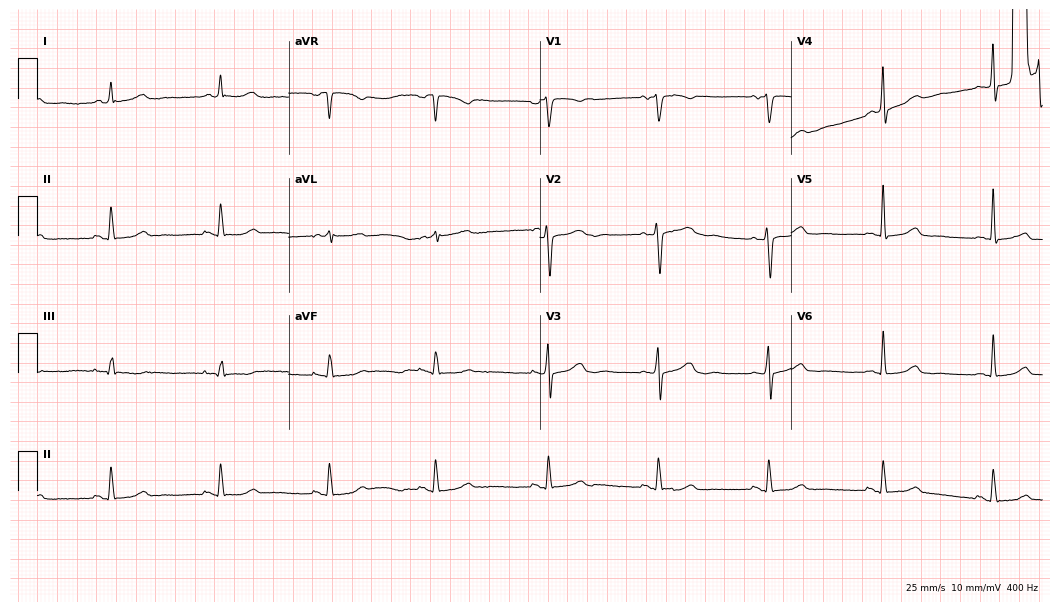
Resting 12-lead electrocardiogram (10.2-second recording at 400 Hz). Patient: a woman, 65 years old. Read as a normal ECG.